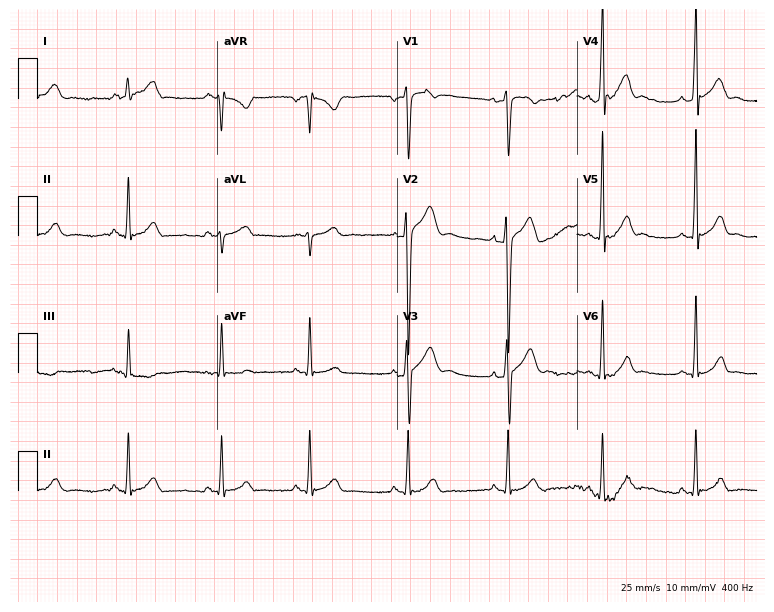
12-lead ECG from a man, 18 years old. Recorded interpretation: within normal limits.